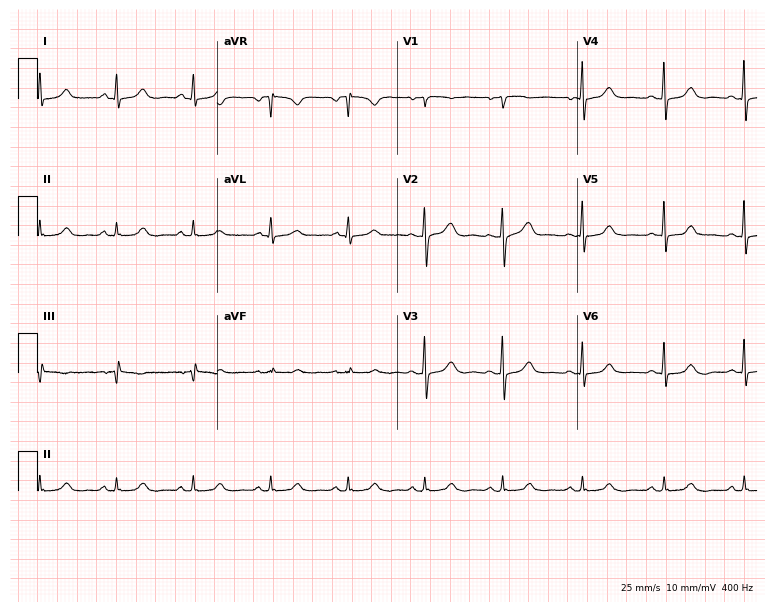
12-lead ECG from a 62-year-old female patient. Labelled as a normal ECG.